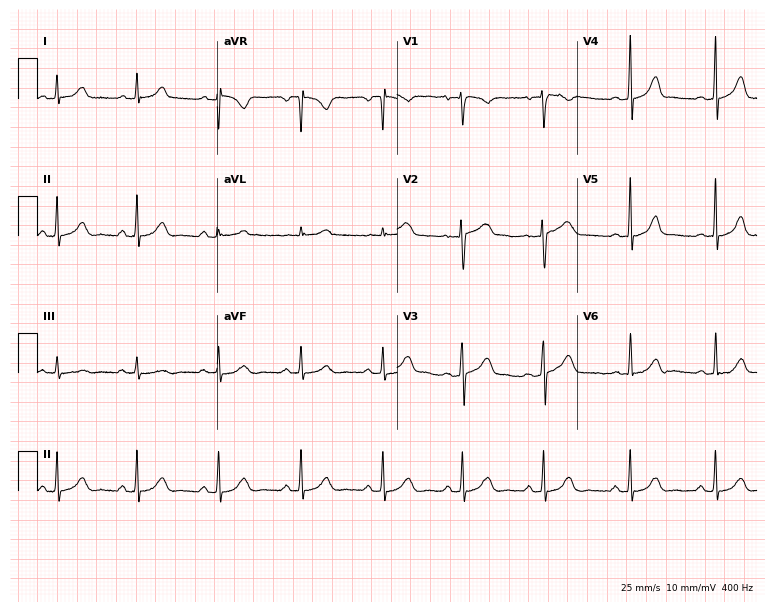
Resting 12-lead electrocardiogram (7.3-second recording at 400 Hz). Patient: a 46-year-old female. Read as a normal ECG.